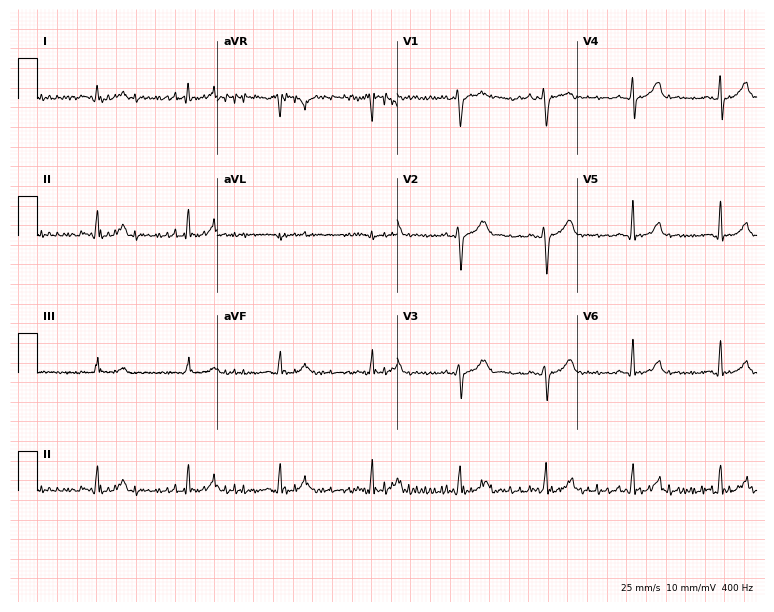
12-lead ECG from a male, 37 years old (7.3-second recording at 400 Hz). No first-degree AV block, right bundle branch block, left bundle branch block, sinus bradycardia, atrial fibrillation or sinus tachycardia recorded for this tracing. Only these six findings were labelled.